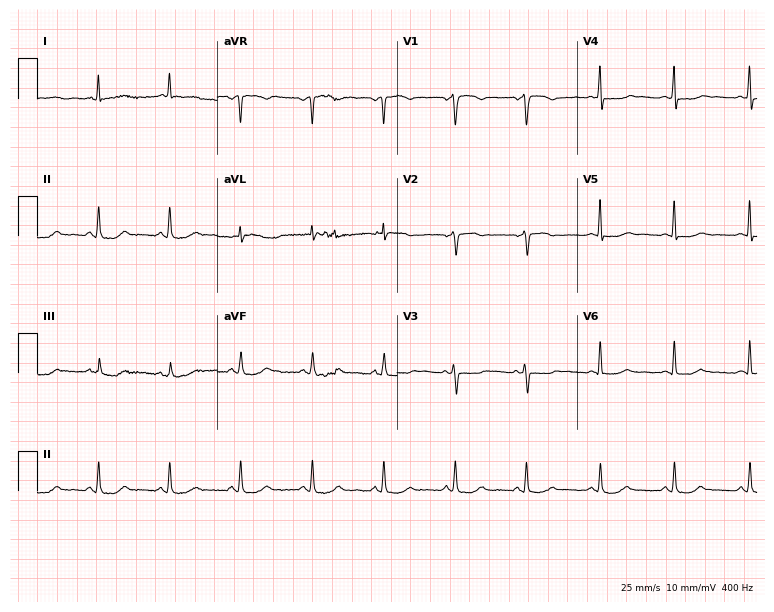
Resting 12-lead electrocardiogram. Patient: a female, 46 years old. None of these six findings is recorded: first-degree AV block, right bundle branch block, left bundle branch block, sinus bradycardia, atrial fibrillation, sinus tachycardia.